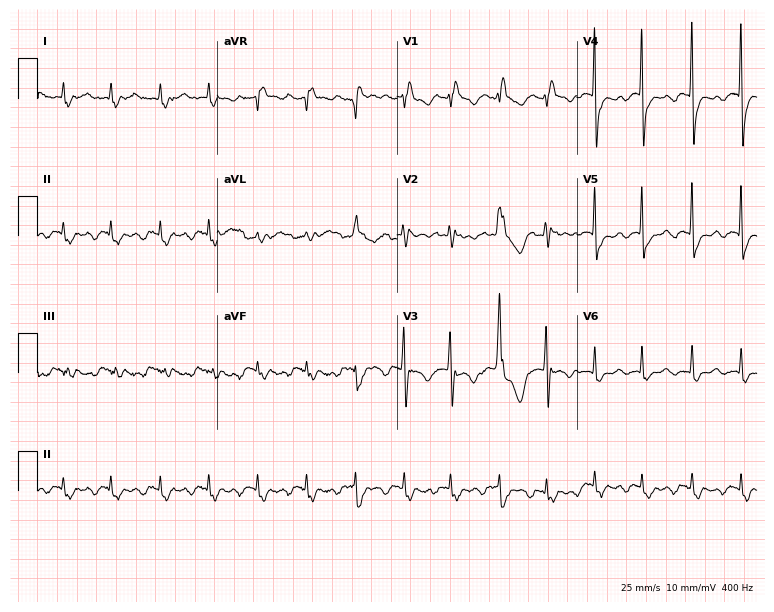
ECG — an 81-year-old female patient. Findings include right bundle branch block.